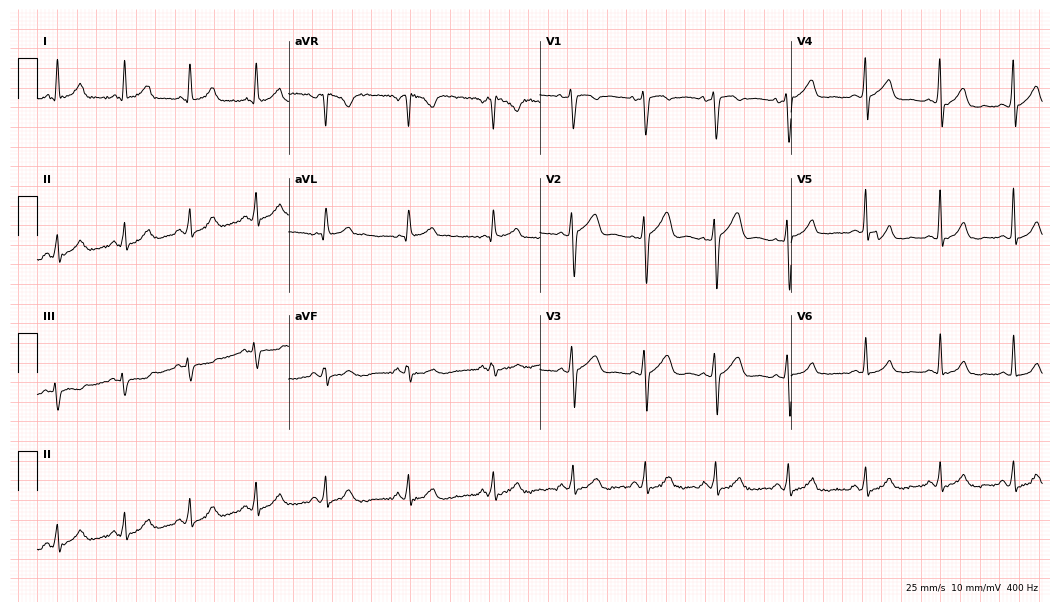
12-lead ECG from a 45-year-old male. Screened for six findings — first-degree AV block, right bundle branch block (RBBB), left bundle branch block (LBBB), sinus bradycardia, atrial fibrillation (AF), sinus tachycardia — none is recorded.